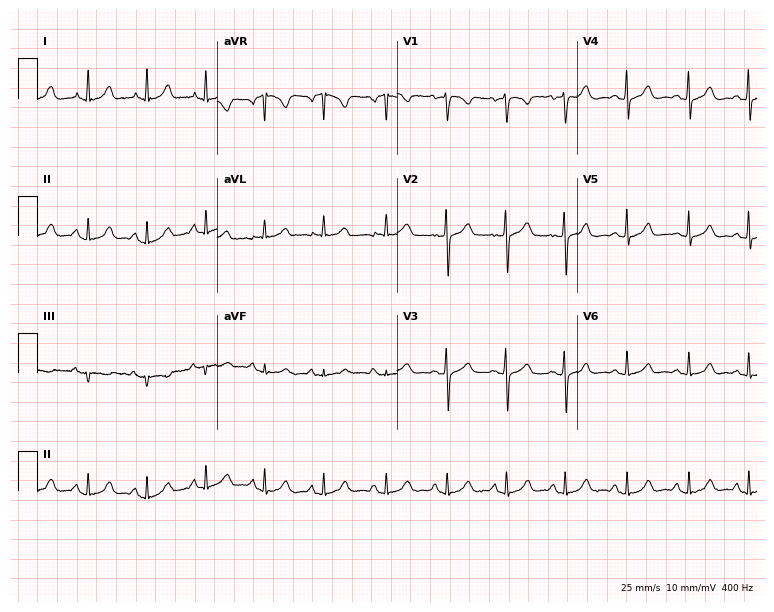
Electrocardiogram, a woman, 34 years old. Overall reading on record: normal ECG.